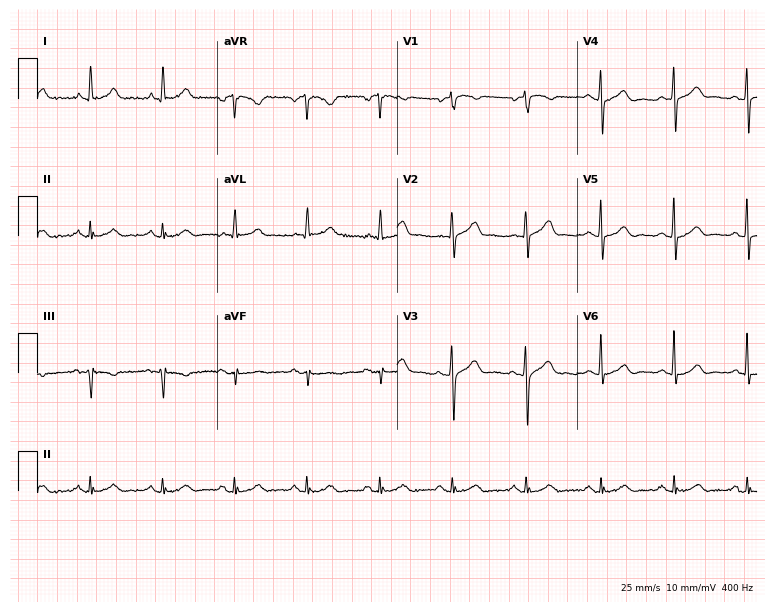
Resting 12-lead electrocardiogram. Patient: a 73-year-old man. Read as a normal ECG.